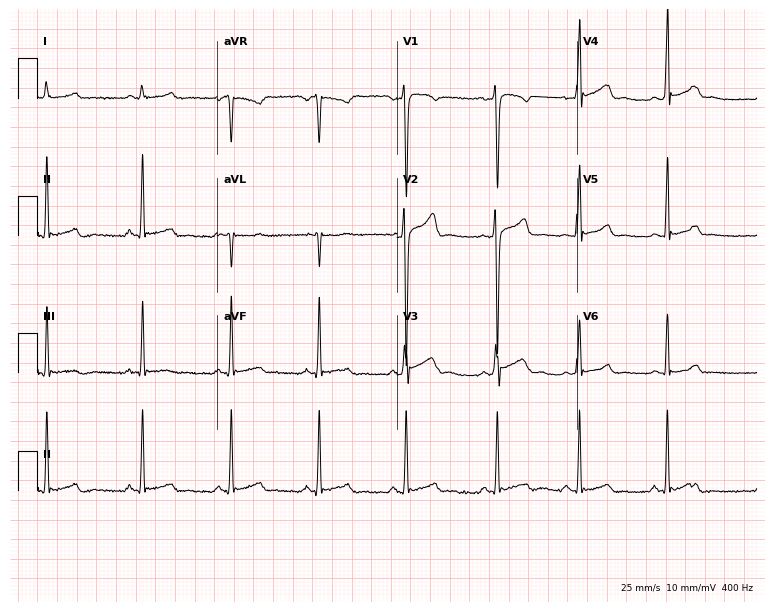
Electrocardiogram (7.3-second recording at 400 Hz), a male, 25 years old. Overall reading on record: normal ECG.